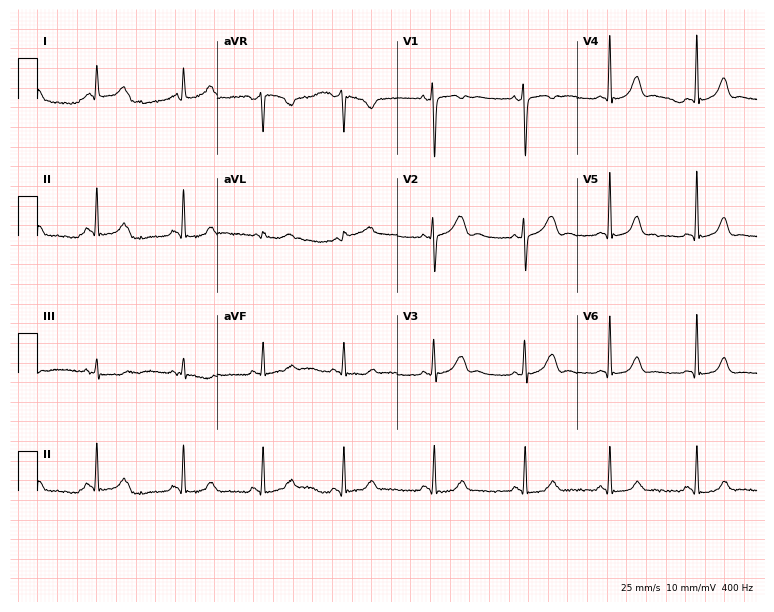
Resting 12-lead electrocardiogram (7.3-second recording at 400 Hz). Patient: a 29-year-old female. Read as a normal ECG.